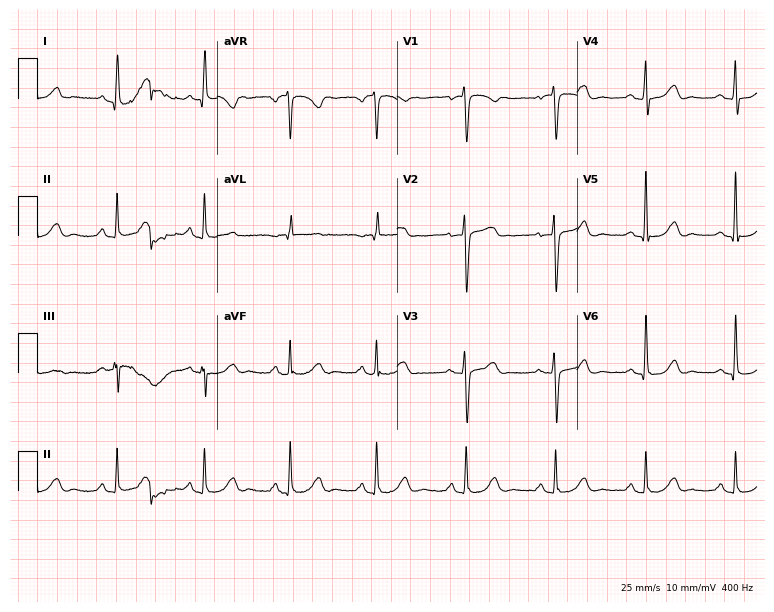
ECG (7.3-second recording at 400 Hz) — a female, 67 years old. Labelled as a normal ECG.